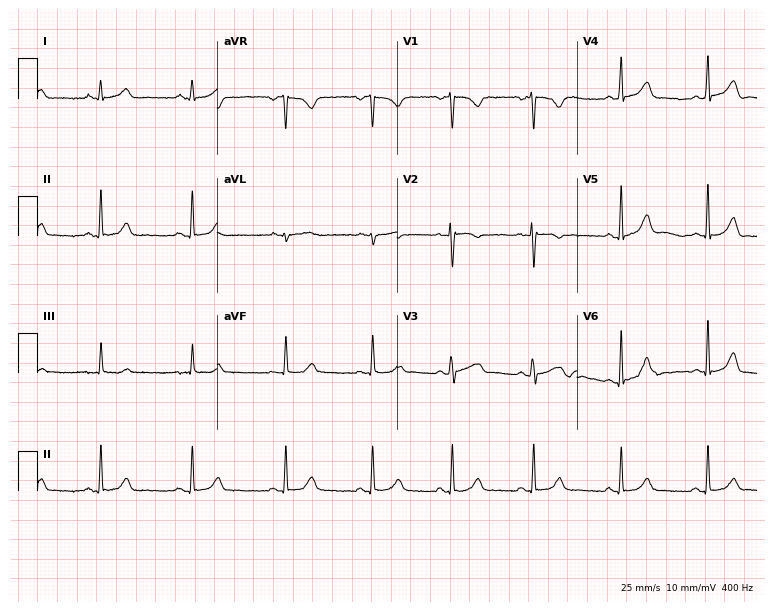
12-lead ECG (7.3-second recording at 400 Hz) from a 20-year-old female patient. Labelled as a normal ECG.